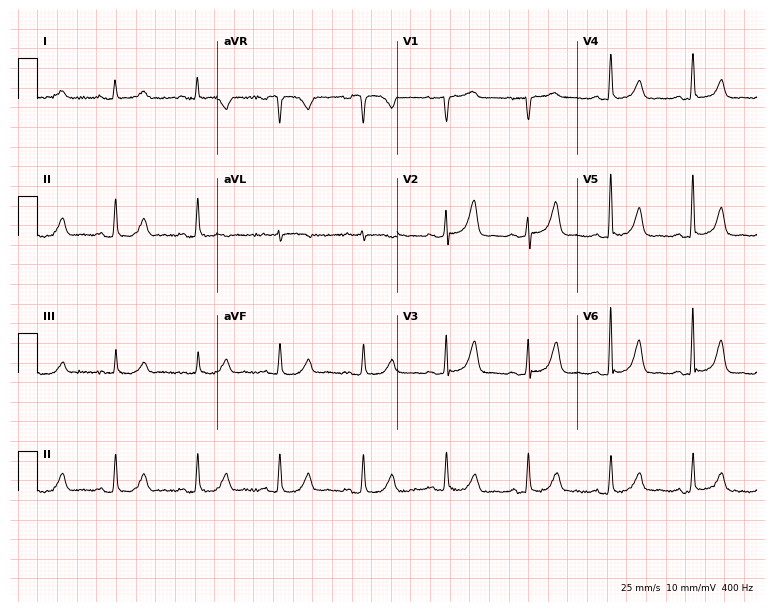
Resting 12-lead electrocardiogram. Patient: a 66-year-old female. Read as a normal ECG.